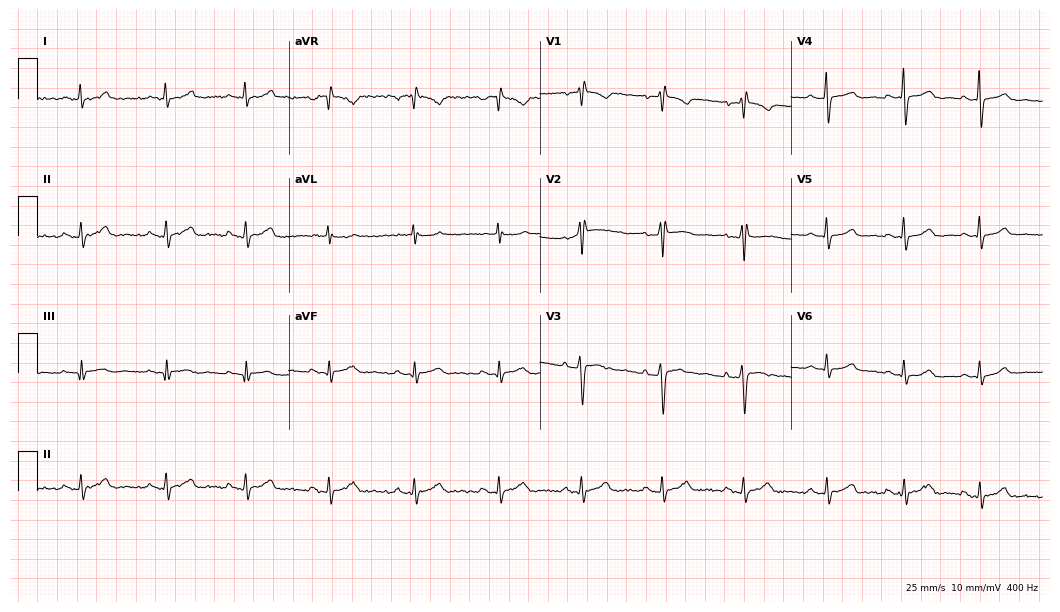
ECG (10.2-second recording at 400 Hz) — a female, 44 years old. Screened for six findings — first-degree AV block, right bundle branch block, left bundle branch block, sinus bradycardia, atrial fibrillation, sinus tachycardia — none is recorded.